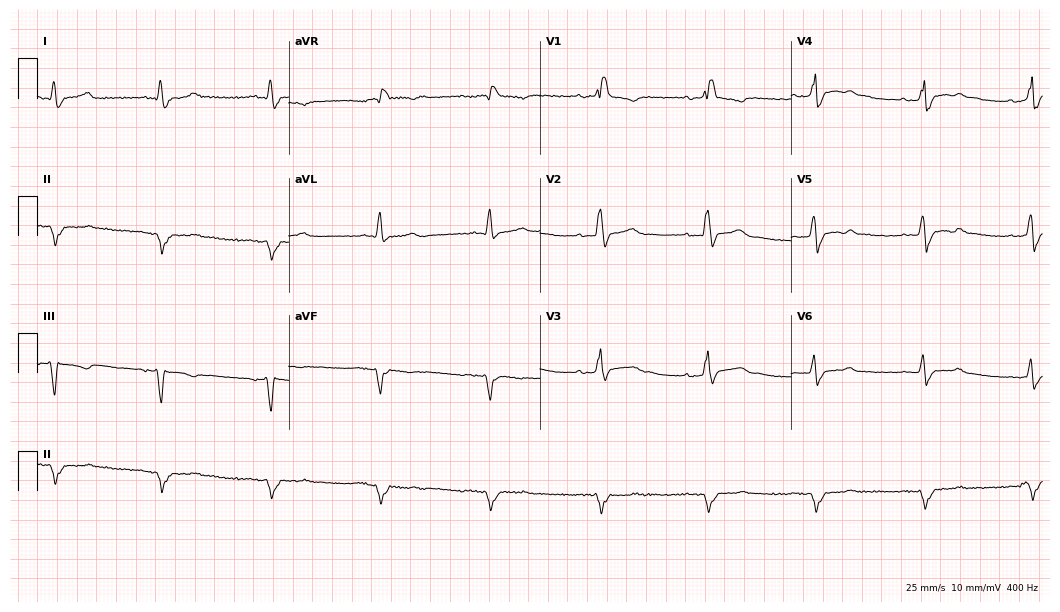
12-lead ECG from a 75-year-old male (10.2-second recording at 400 Hz). No first-degree AV block, right bundle branch block, left bundle branch block, sinus bradycardia, atrial fibrillation or sinus tachycardia recorded for this tracing. Only these six findings were labelled.